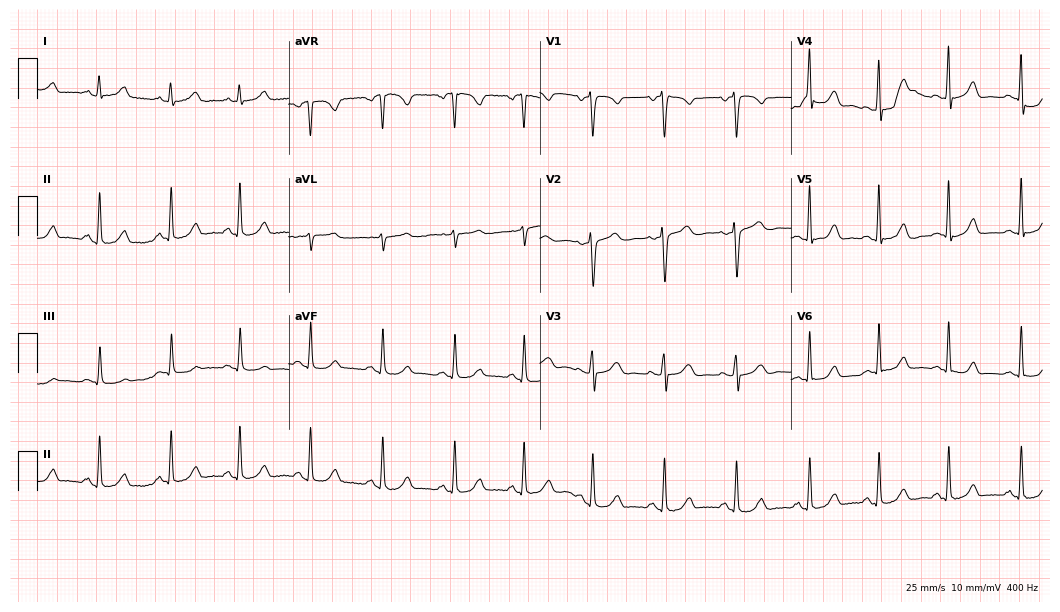
ECG (10.2-second recording at 400 Hz) — a female patient, 44 years old. Labelled as a normal ECG.